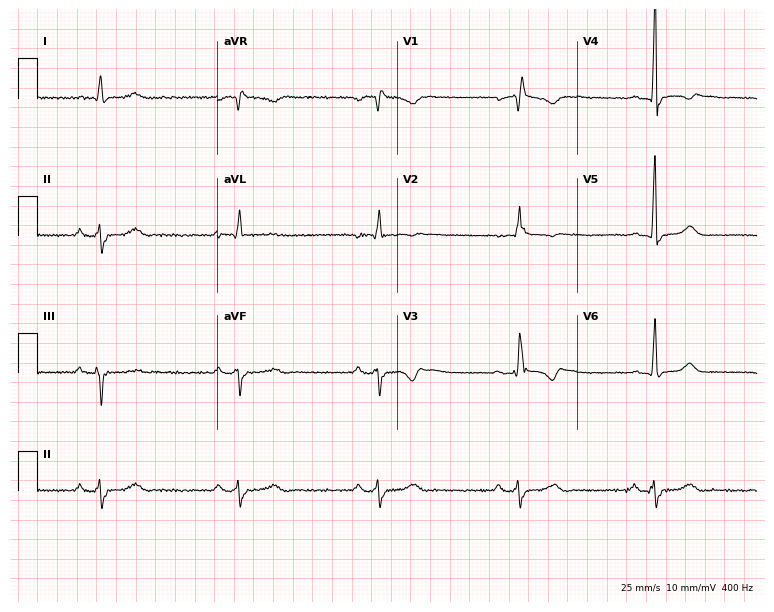
12-lead ECG (7.3-second recording at 400 Hz) from a 54-year-old male. Findings include sinus bradycardia (a sinus rate of 50 beats per minute or less).